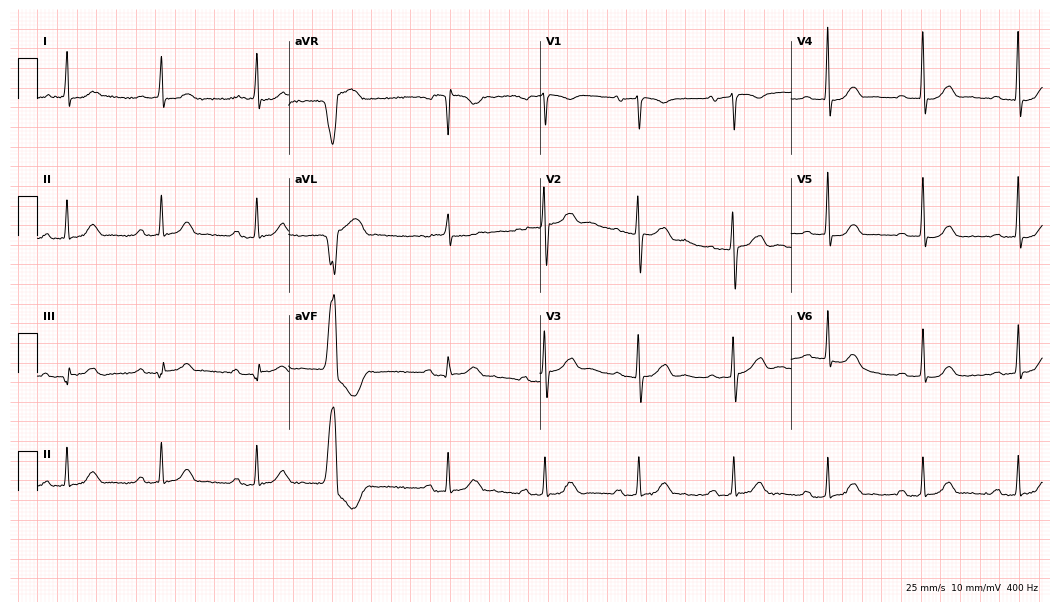
12-lead ECG from a 66-year-old woman (10.2-second recording at 400 Hz). Recorded interpretation: within normal limits.